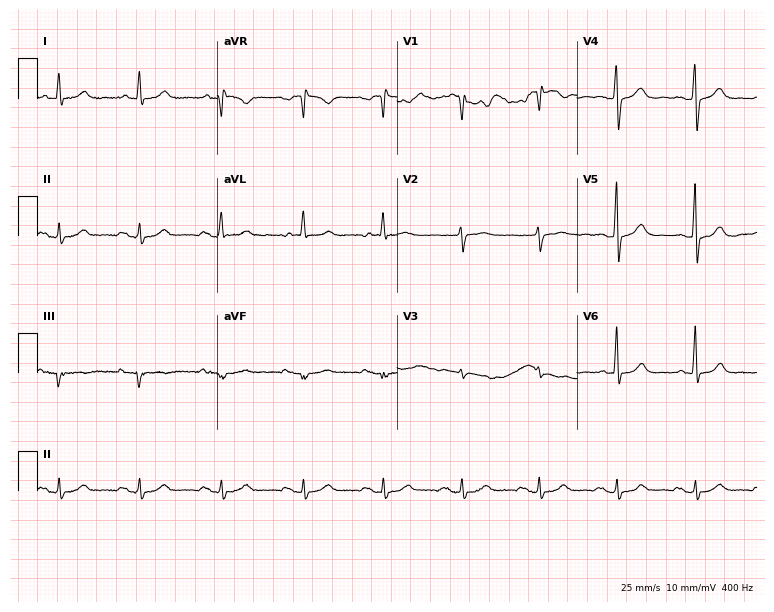
Standard 12-lead ECG recorded from a 76-year-old male. None of these six findings is recorded: first-degree AV block, right bundle branch block, left bundle branch block, sinus bradycardia, atrial fibrillation, sinus tachycardia.